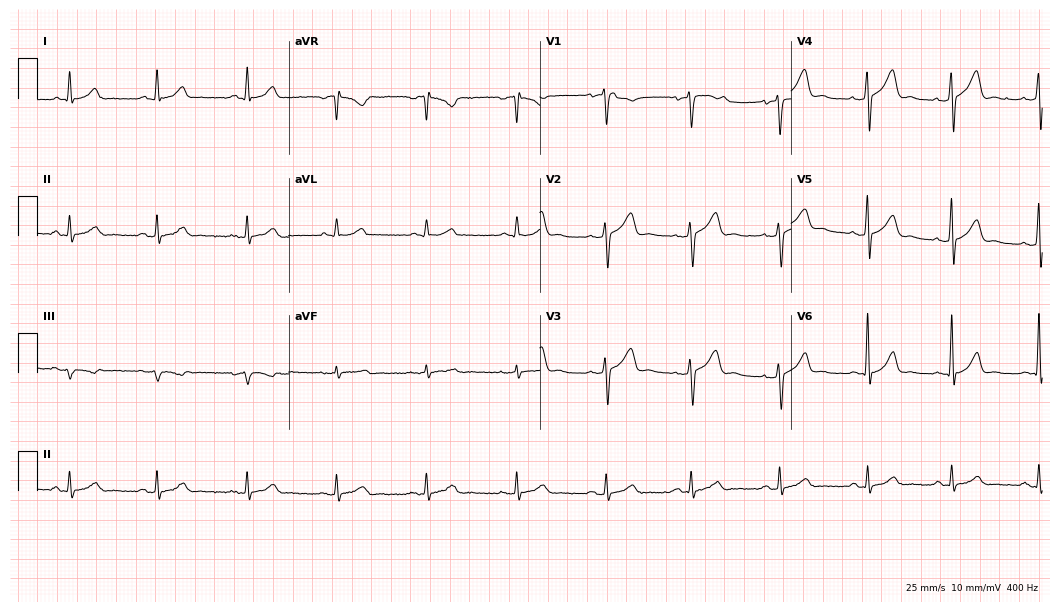
Resting 12-lead electrocardiogram. Patient: a 44-year-old male. Read as a normal ECG.